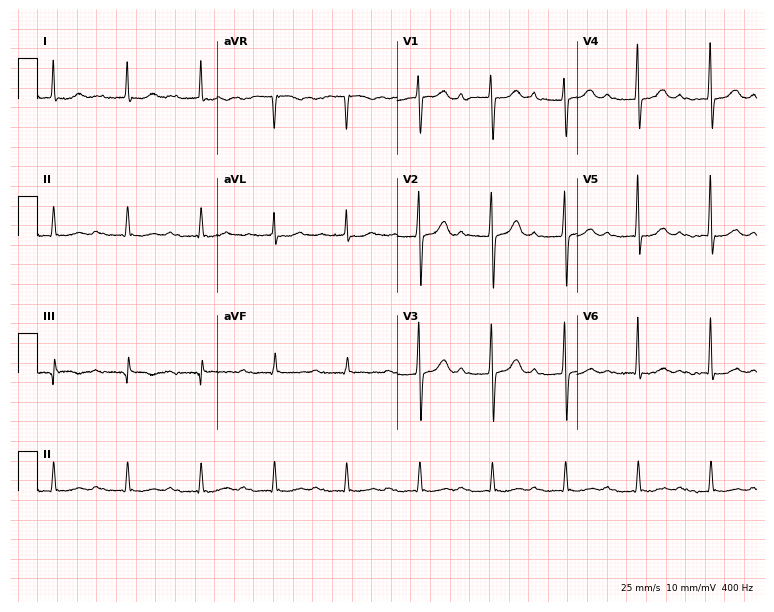
Standard 12-lead ECG recorded from an 82-year-old male (7.3-second recording at 400 Hz). The tracing shows first-degree AV block.